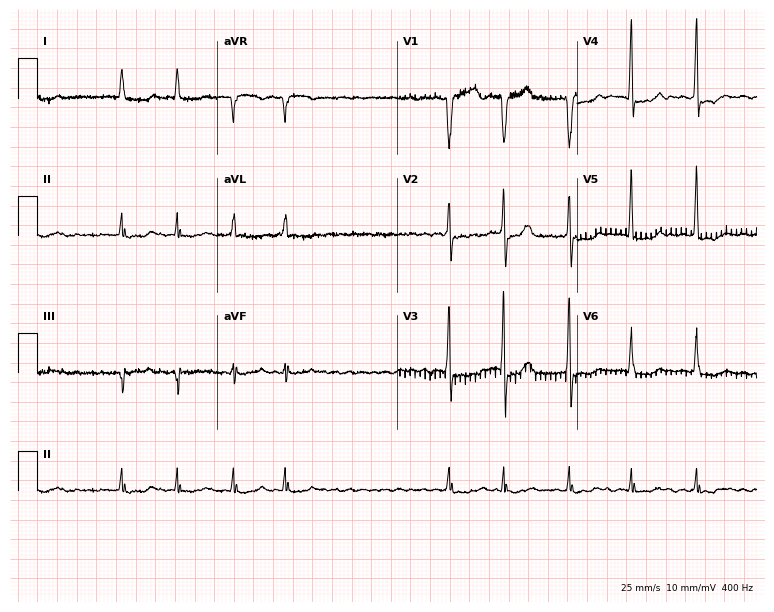
12-lead ECG from a 79-year-old male (7.3-second recording at 400 Hz). No first-degree AV block, right bundle branch block, left bundle branch block, sinus bradycardia, atrial fibrillation or sinus tachycardia recorded for this tracing.